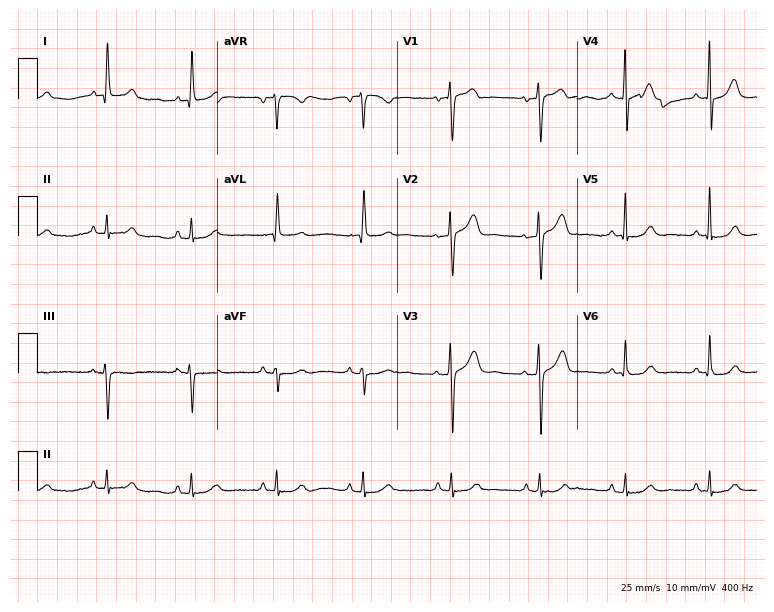
12-lead ECG from a 72-year-old woman. Recorded interpretation: within normal limits.